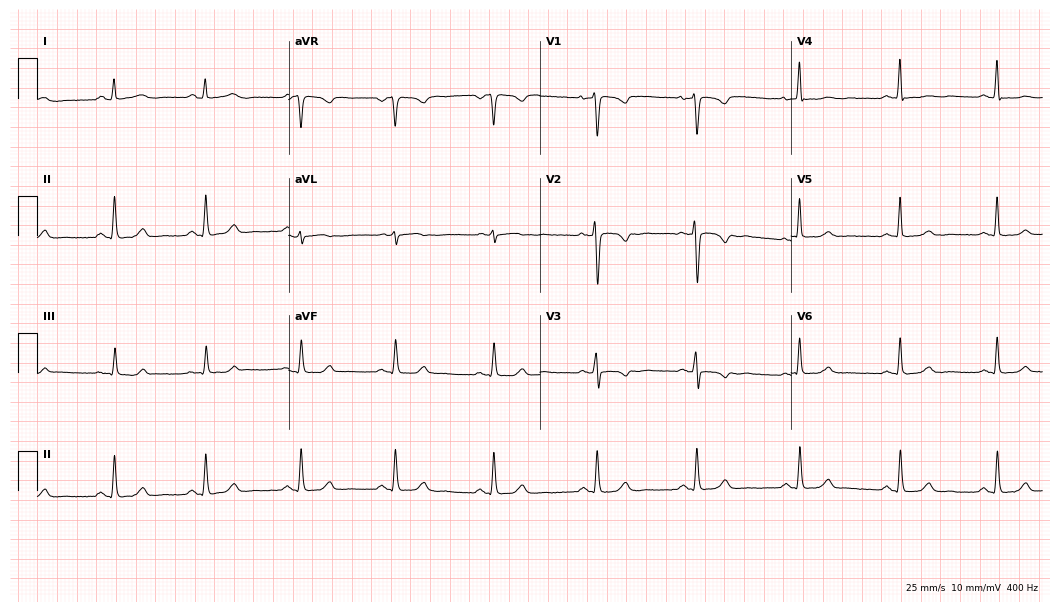
ECG (10.2-second recording at 400 Hz) — a female, 47 years old. Labelled as a normal ECG.